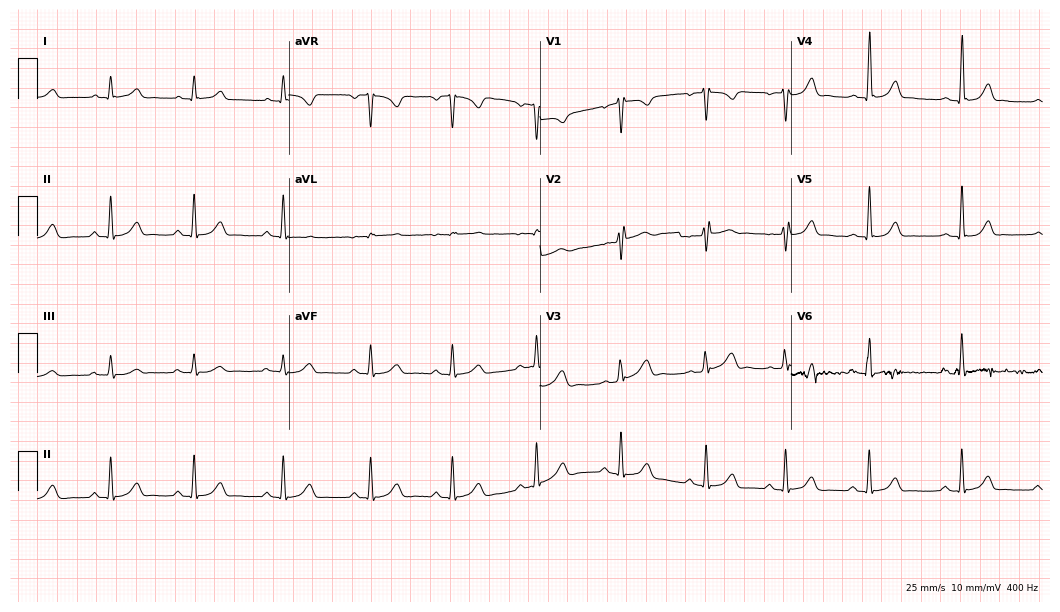
ECG (10.2-second recording at 400 Hz) — a female, 30 years old. Labelled as a normal ECG.